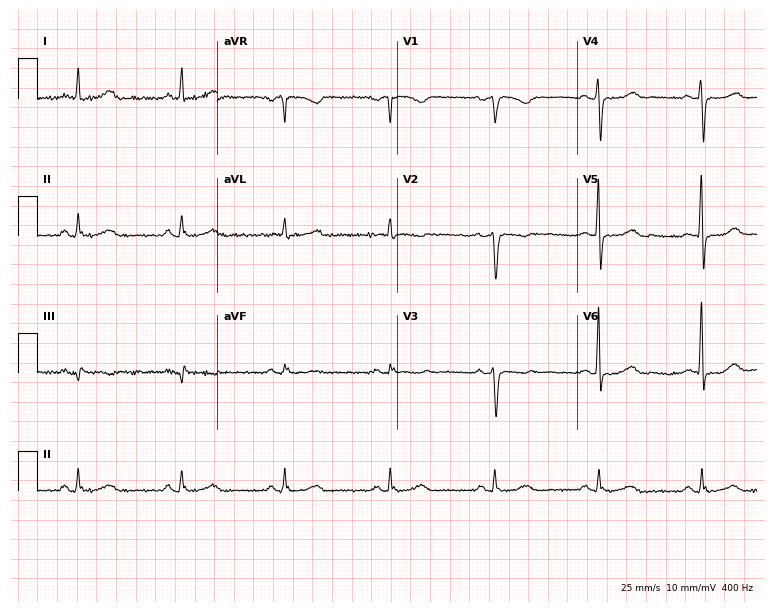
Electrocardiogram (7.3-second recording at 400 Hz), a woman, 74 years old. Of the six screened findings (first-degree AV block, right bundle branch block (RBBB), left bundle branch block (LBBB), sinus bradycardia, atrial fibrillation (AF), sinus tachycardia), none is recorded.